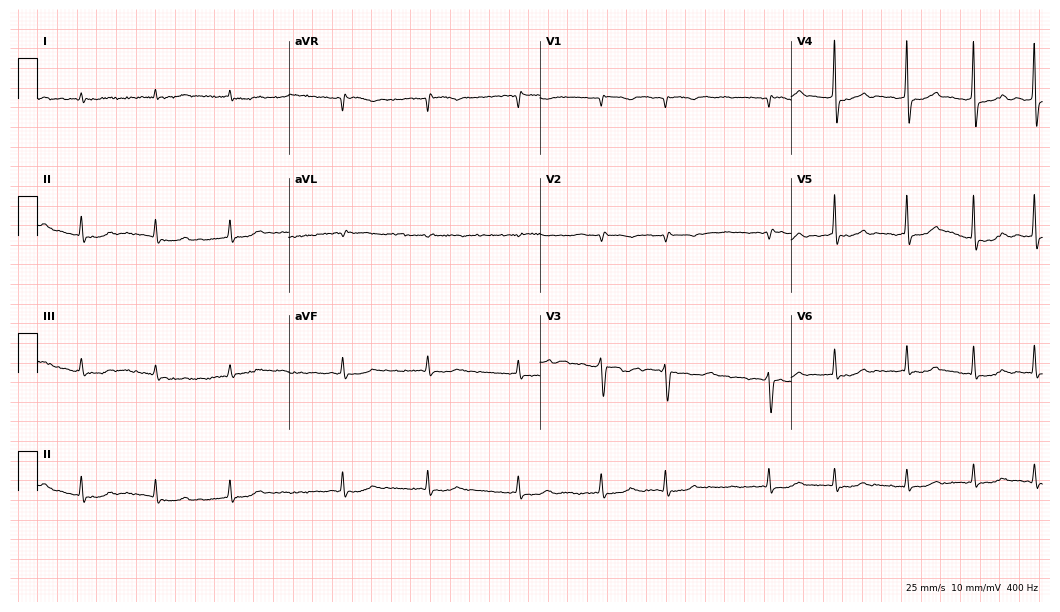
12-lead ECG from a man, 82 years old. Findings include atrial fibrillation (AF).